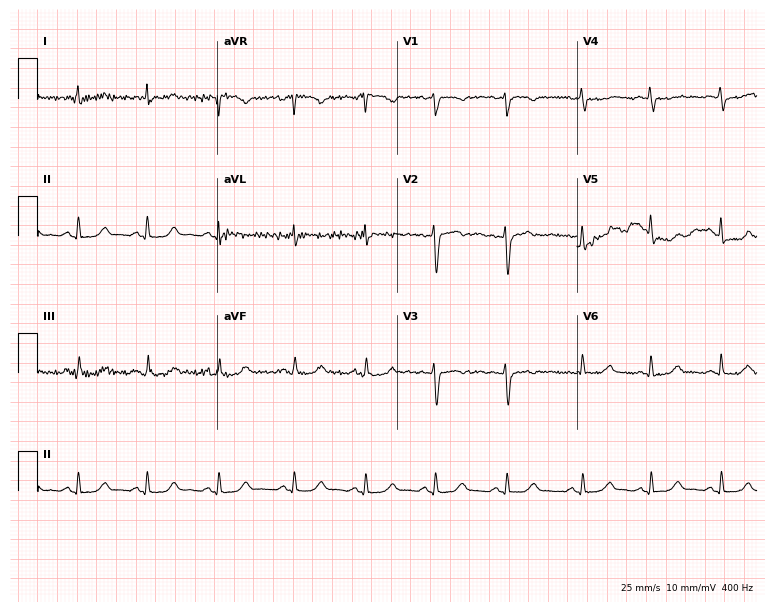
Standard 12-lead ECG recorded from a 38-year-old female patient. None of these six findings is recorded: first-degree AV block, right bundle branch block, left bundle branch block, sinus bradycardia, atrial fibrillation, sinus tachycardia. Findings outside these six are not listed.